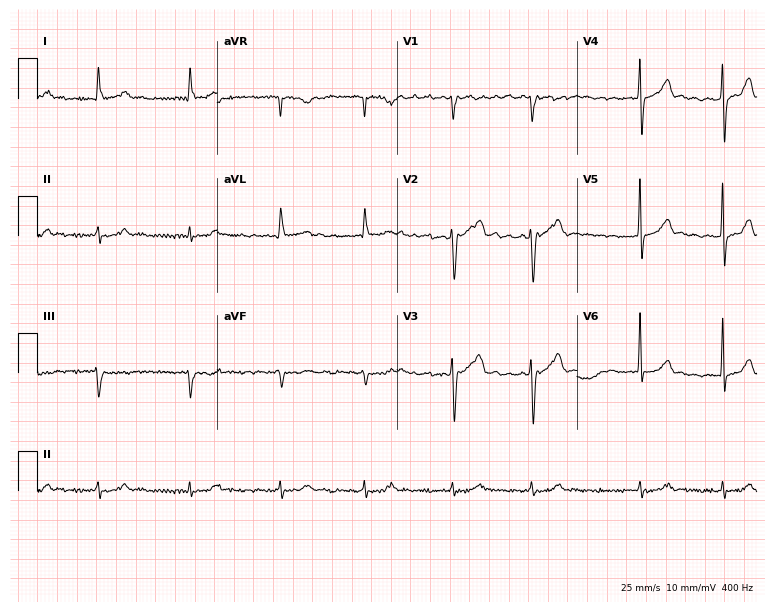
Electrocardiogram, an 84-year-old male. Interpretation includes atrial fibrillation.